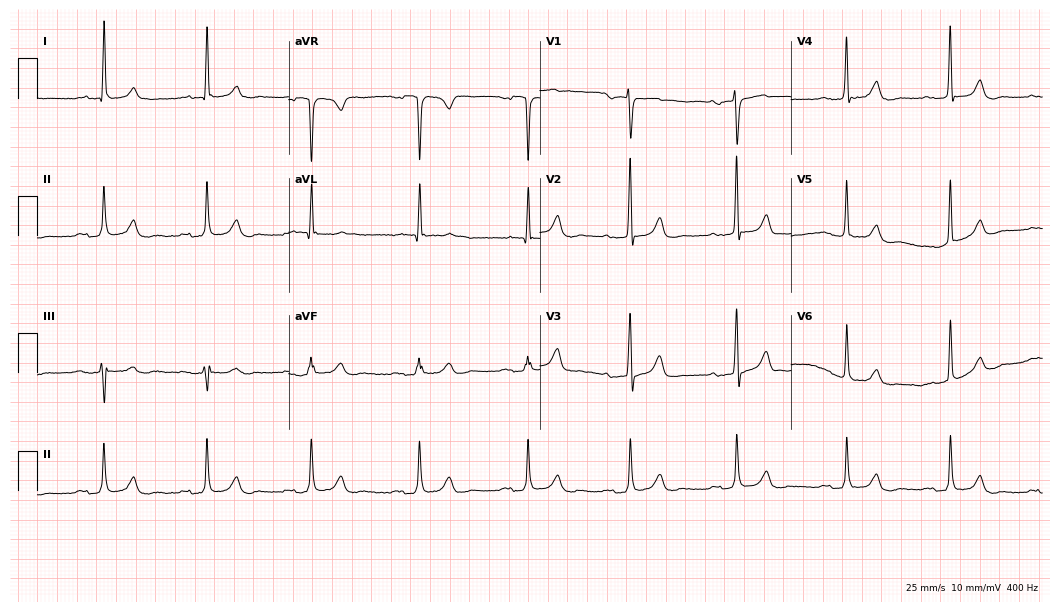
12-lead ECG (10.2-second recording at 400 Hz) from a 65-year-old female. Labelled as a normal ECG.